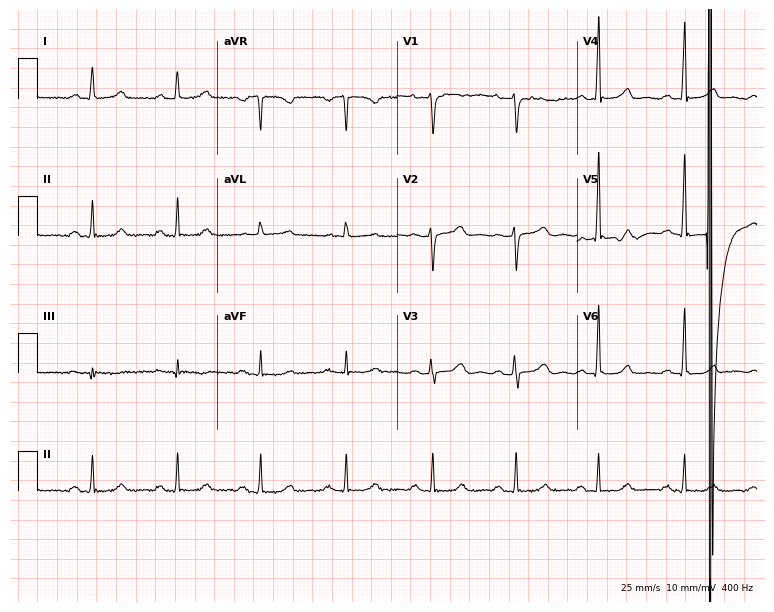
ECG — a 55-year-old female. Labelled as a normal ECG.